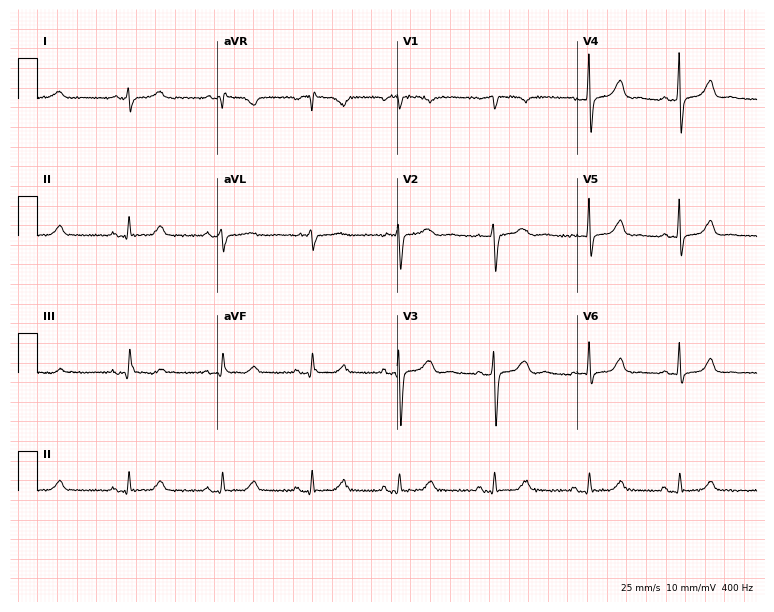
12-lead ECG from a 42-year-old woman. No first-degree AV block, right bundle branch block, left bundle branch block, sinus bradycardia, atrial fibrillation or sinus tachycardia recorded for this tracing.